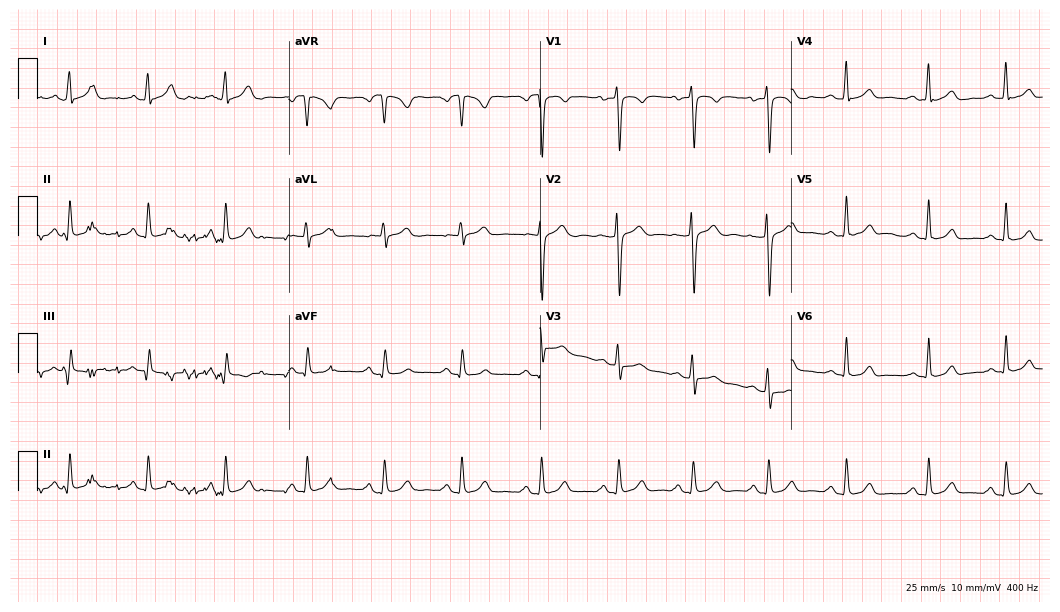
12-lead ECG from a 27-year-old male patient. Screened for six findings — first-degree AV block, right bundle branch block, left bundle branch block, sinus bradycardia, atrial fibrillation, sinus tachycardia — none is recorded.